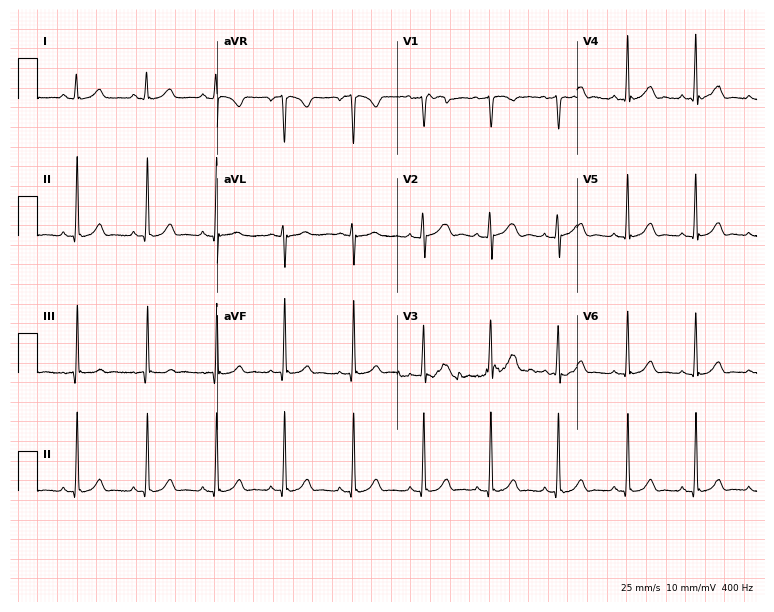
12-lead ECG from a woman, 17 years old (7.3-second recording at 400 Hz). Recorded interpretation: within normal limits.